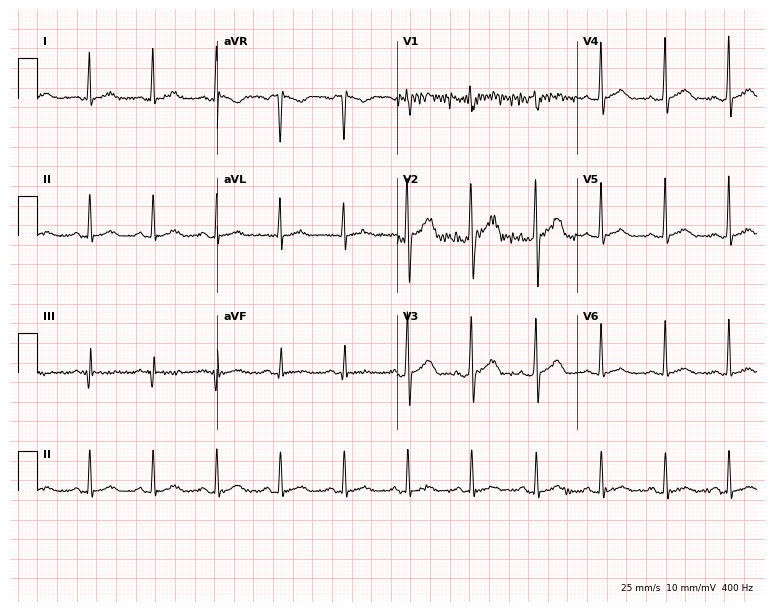
12-lead ECG (7.3-second recording at 400 Hz) from a male patient, 42 years old. Labelled as a normal ECG.